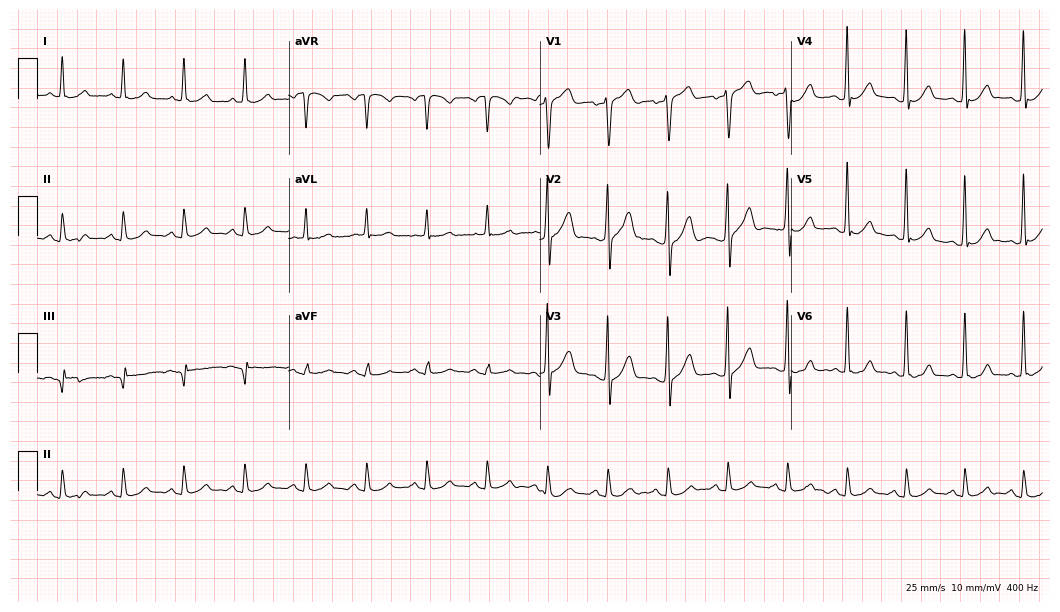
Standard 12-lead ECG recorded from a 60-year-old male patient. Read as a normal ECG.